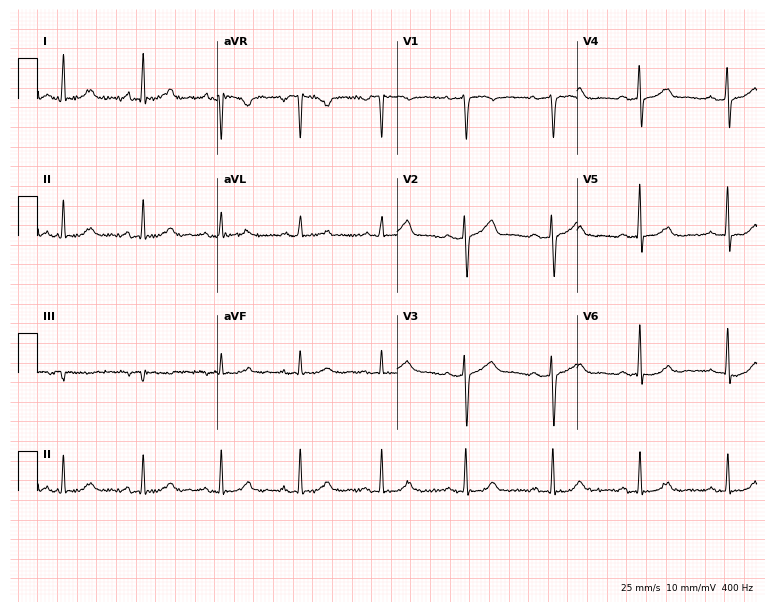
Resting 12-lead electrocardiogram (7.3-second recording at 400 Hz). Patient: a 62-year-old female. Read as a normal ECG.